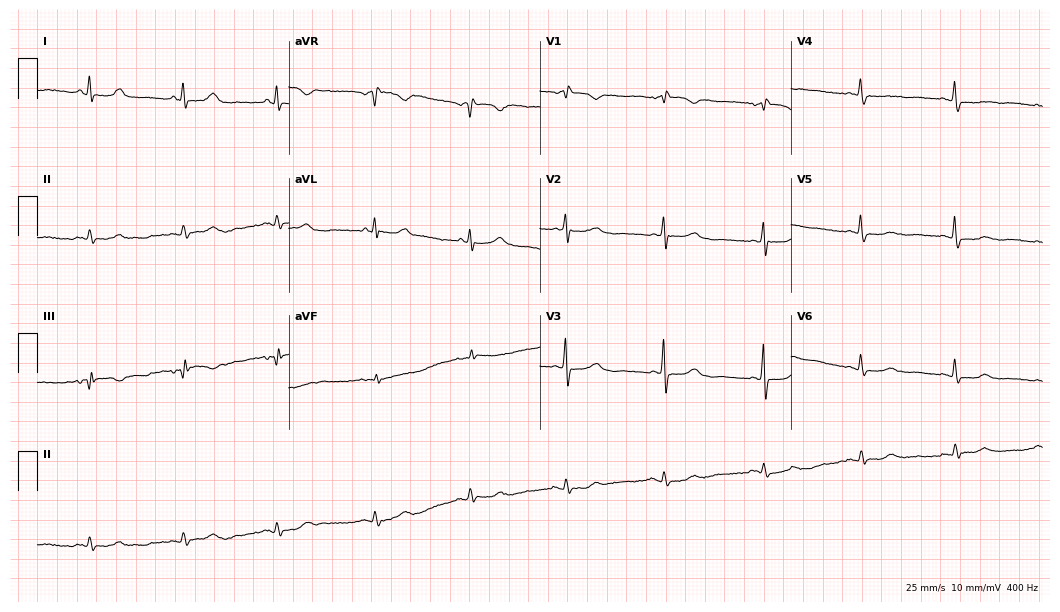
Standard 12-lead ECG recorded from a female, 78 years old. None of these six findings is recorded: first-degree AV block, right bundle branch block (RBBB), left bundle branch block (LBBB), sinus bradycardia, atrial fibrillation (AF), sinus tachycardia. Findings outside these six are not listed.